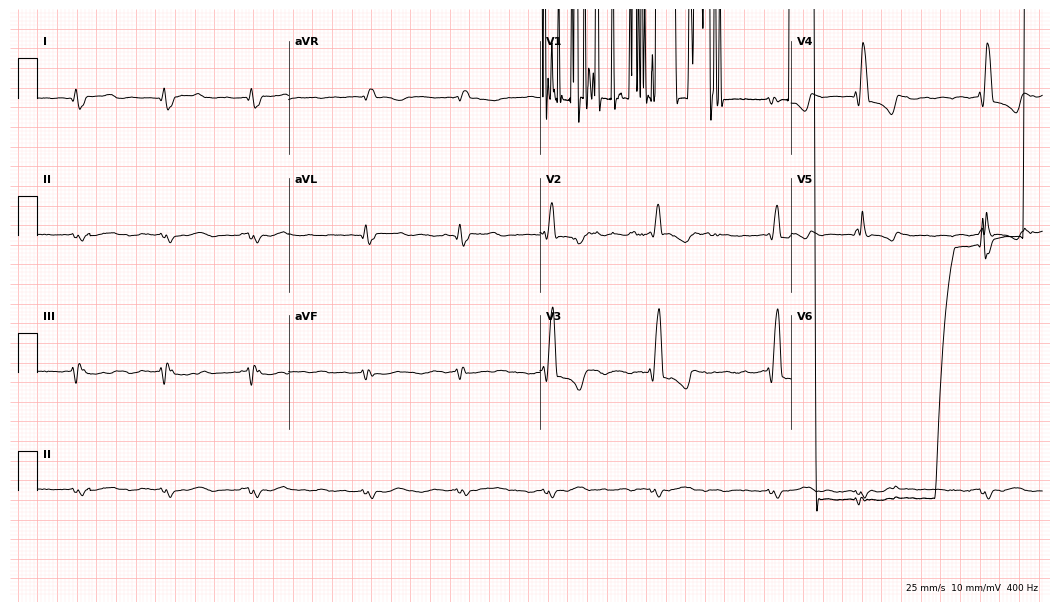
Standard 12-lead ECG recorded from a male, 83 years old. None of these six findings is recorded: first-degree AV block, right bundle branch block, left bundle branch block, sinus bradycardia, atrial fibrillation, sinus tachycardia. Findings outside these six are not listed.